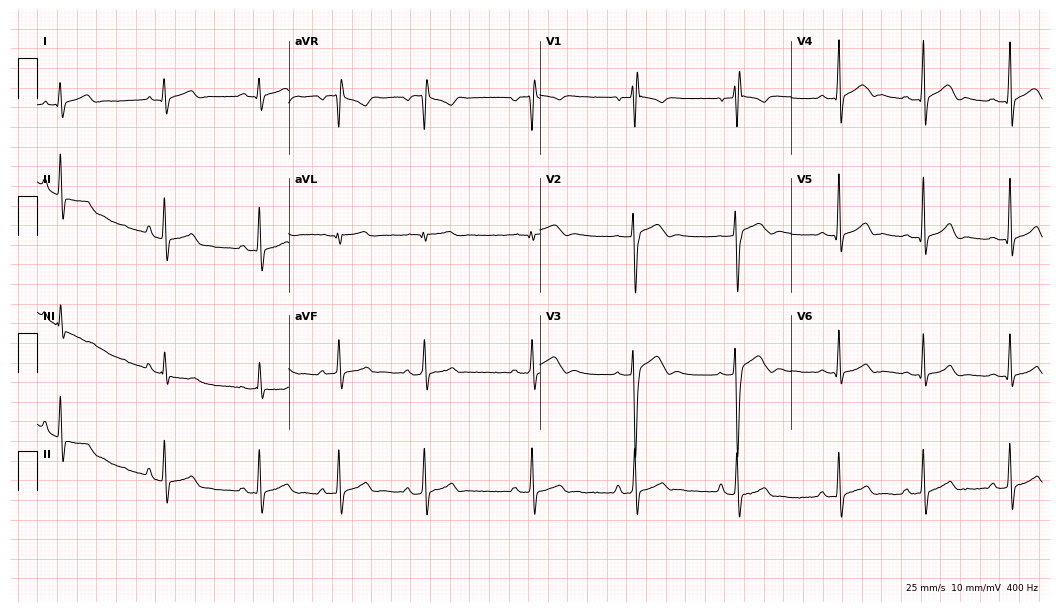
ECG — a male patient, 17 years old. Screened for six findings — first-degree AV block, right bundle branch block, left bundle branch block, sinus bradycardia, atrial fibrillation, sinus tachycardia — none is recorded.